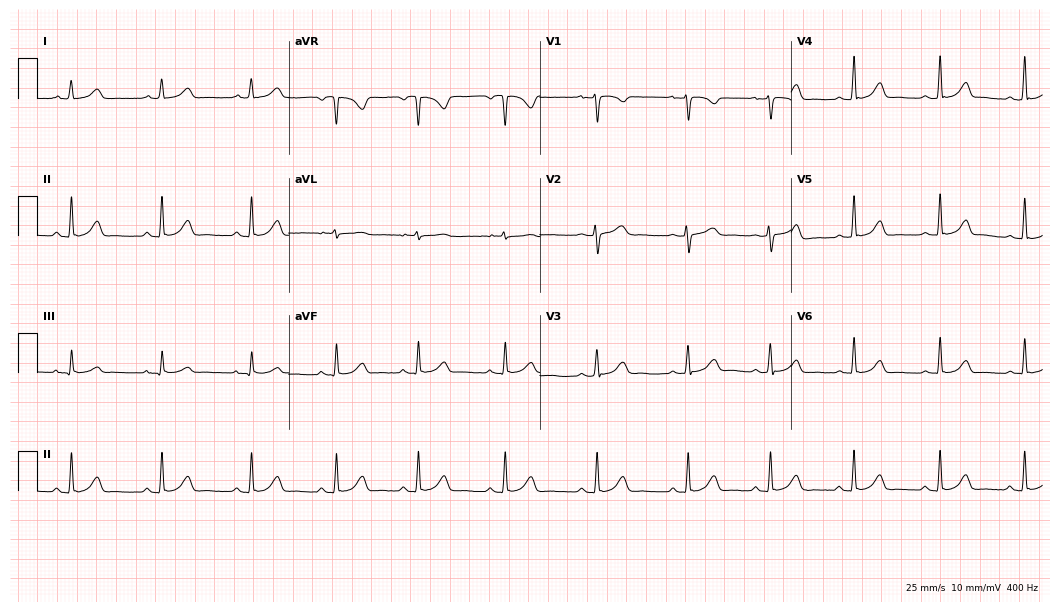
ECG — a female, 27 years old. Labelled as a normal ECG.